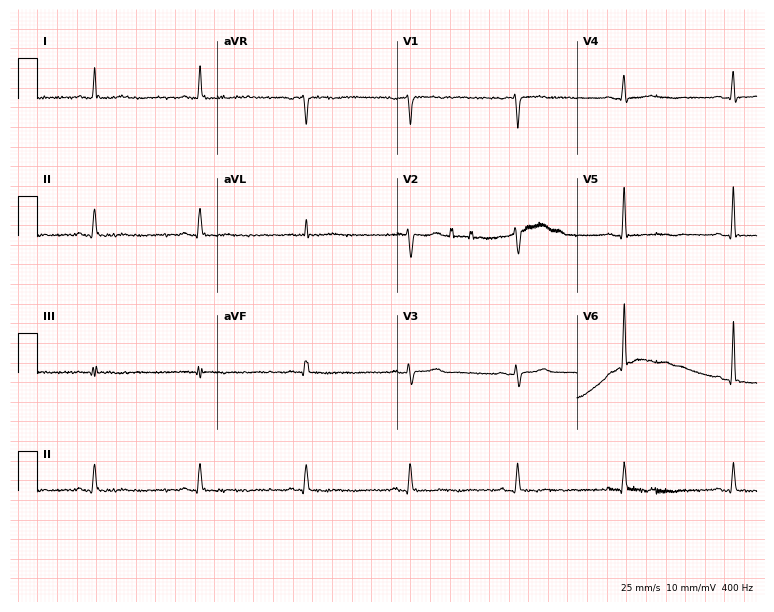
12-lead ECG (7.3-second recording at 400 Hz) from a 56-year-old female. Screened for six findings — first-degree AV block, right bundle branch block, left bundle branch block, sinus bradycardia, atrial fibrillation, sinus tachycardia — none is recorded. Only these six findings were labelled.